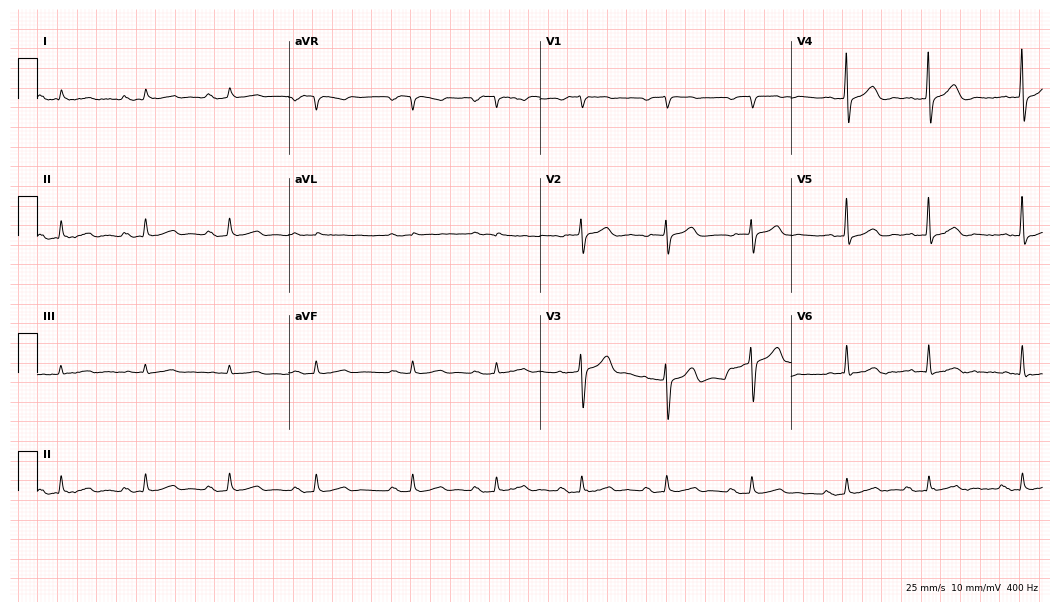
12-lead ECG from a male, 75 years old. Labelled as a normal ECG.